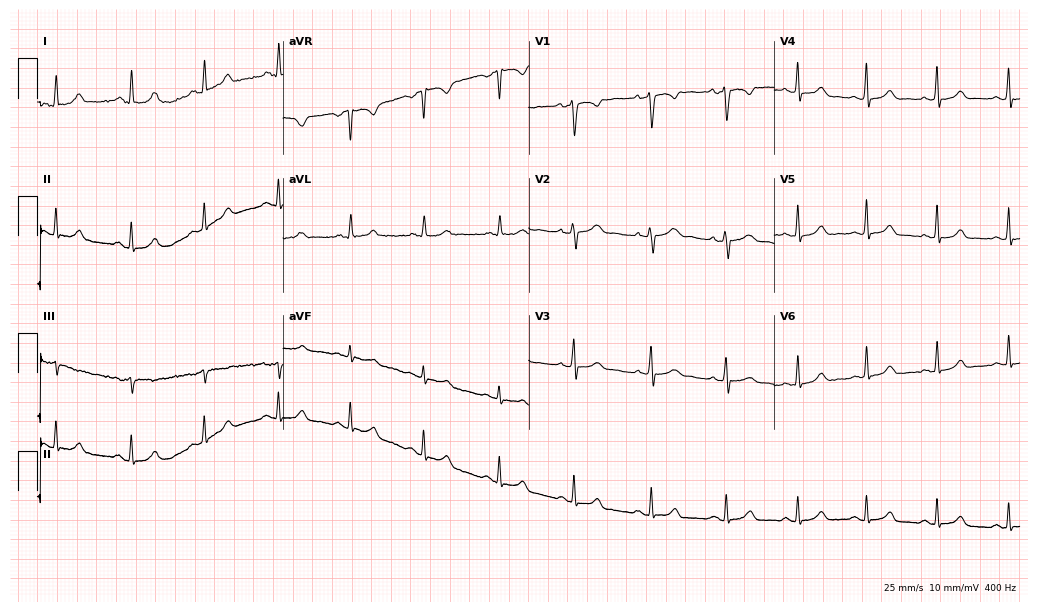
12-lead ECG from a female, 26 years old. Labelled as a normal ECG.